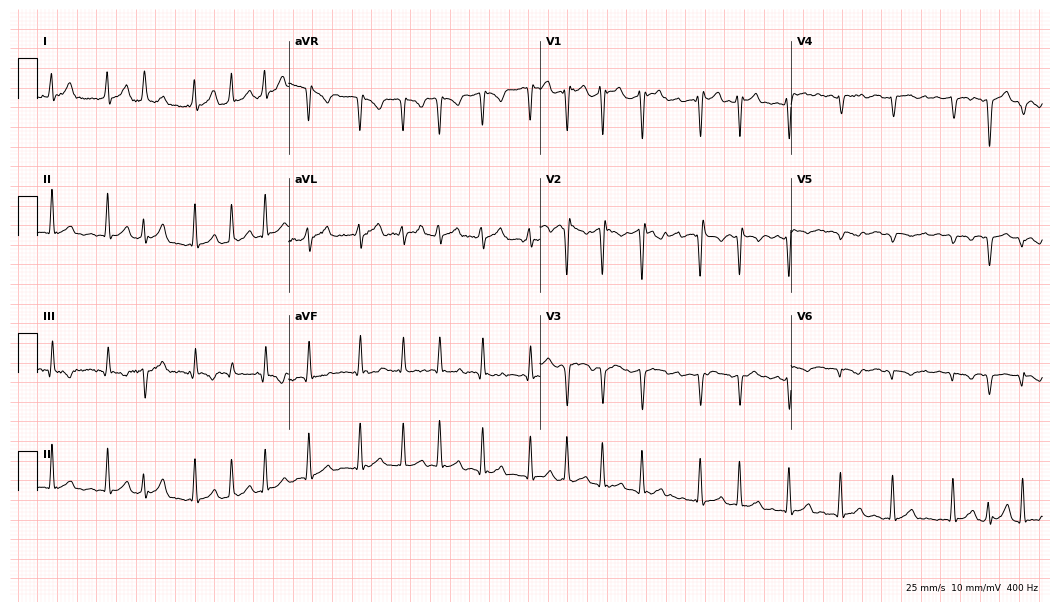
Standard 12-lead ECG recorded from a man, 32 years old (10.2-second recording at 400 Hz). The tracing shows atrial fibrillation, sinus tachycardia (a sinus rate of 100 beats per minute or more).